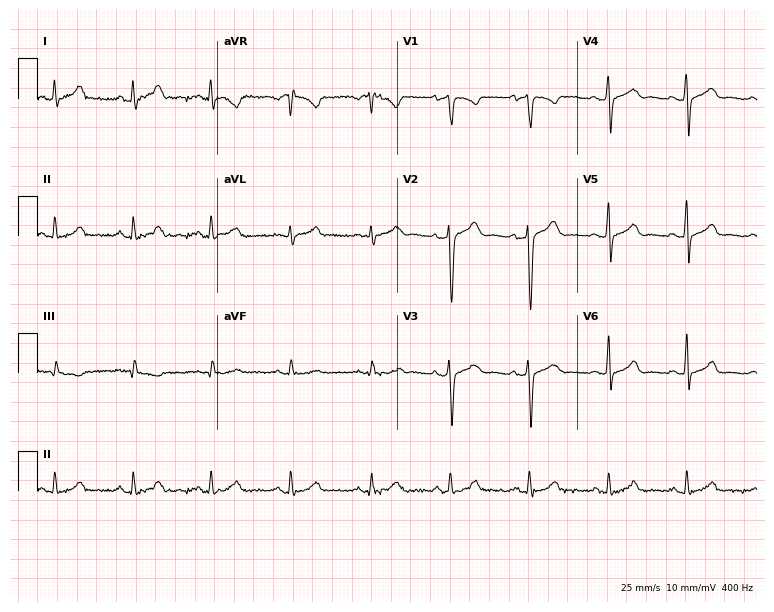
12-lead ECG (7.3-second recording at 400 Hz) from a 29-year-old man. Screened for six findings — first-degree AV block, right bundle branch block, left bundle branch block, sinus bradycardia, atrial fibrillation, sinus tachycardia — none is recorded.